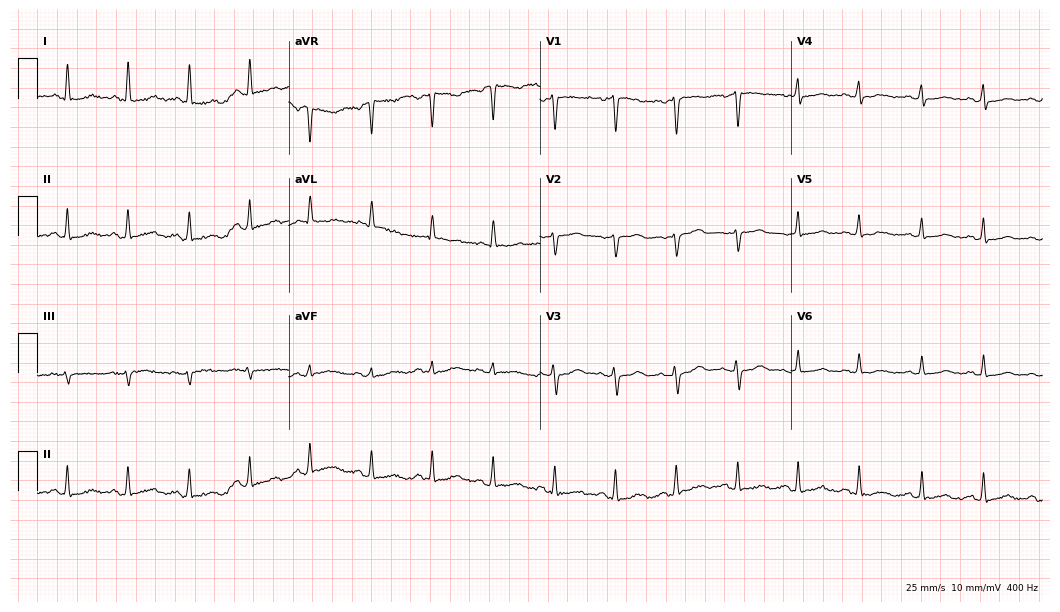
12-lead ECG (10.2-second recording at 400 Hz) from a female patient, 43 years old. Screened for six findings — first-degree AV block, right bundle branch block, left bundle branch block, sinus bradycardia, atrial fibrillation, sinus tachycardia — none is recorded.